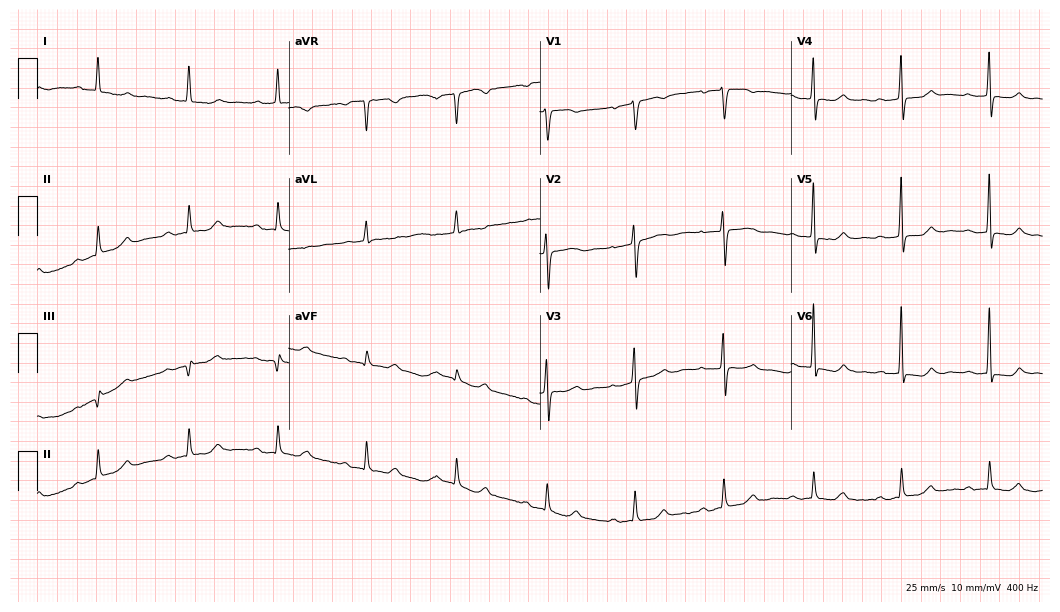
ECG (10.2-second recording at 400 Hz) — an 83-year-old female patient. Labelled as a normal ECG.